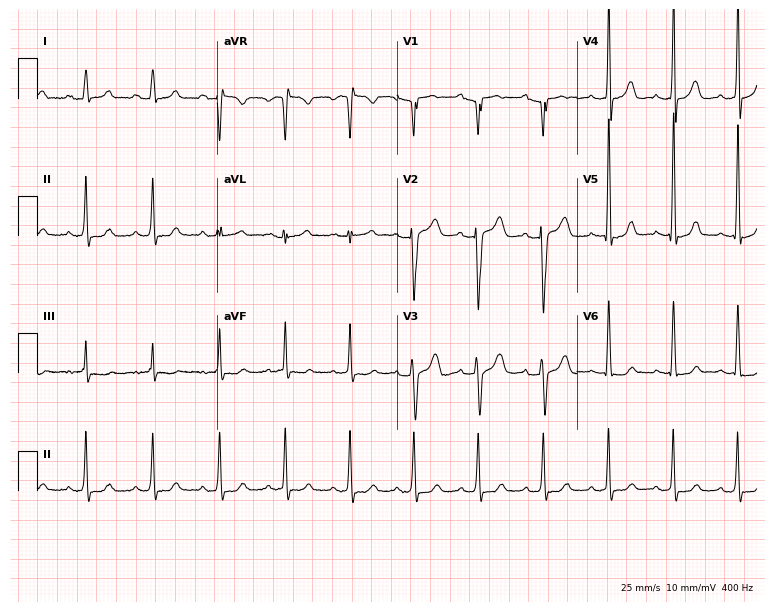
12-lead ECG from a female, 23 years old. Labelled as a normal ECG.